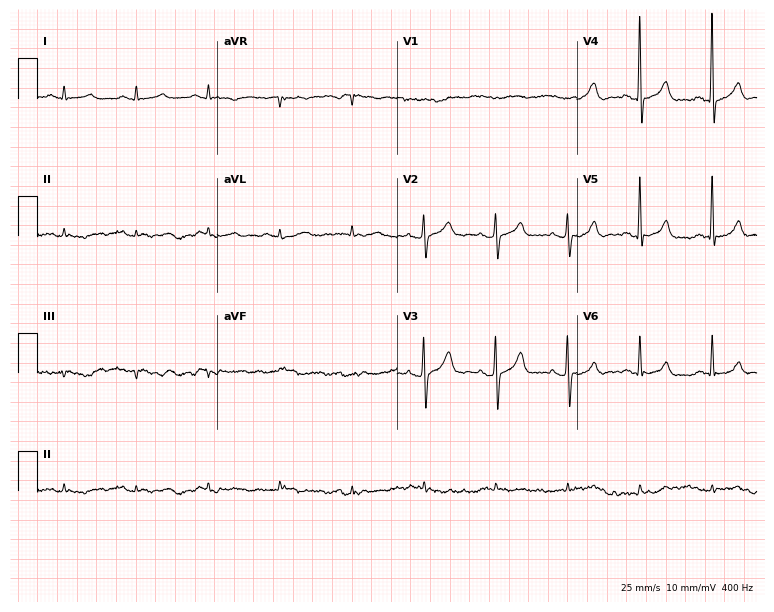
12-lead ECG from an 81-year-old male. No first-degree AV block, right bundle branch block, left bundle branch block, sinus bradycardia, atrial fibrillation or sinus tachycardia recorded for this tracing. Findings outside these six are not listed.